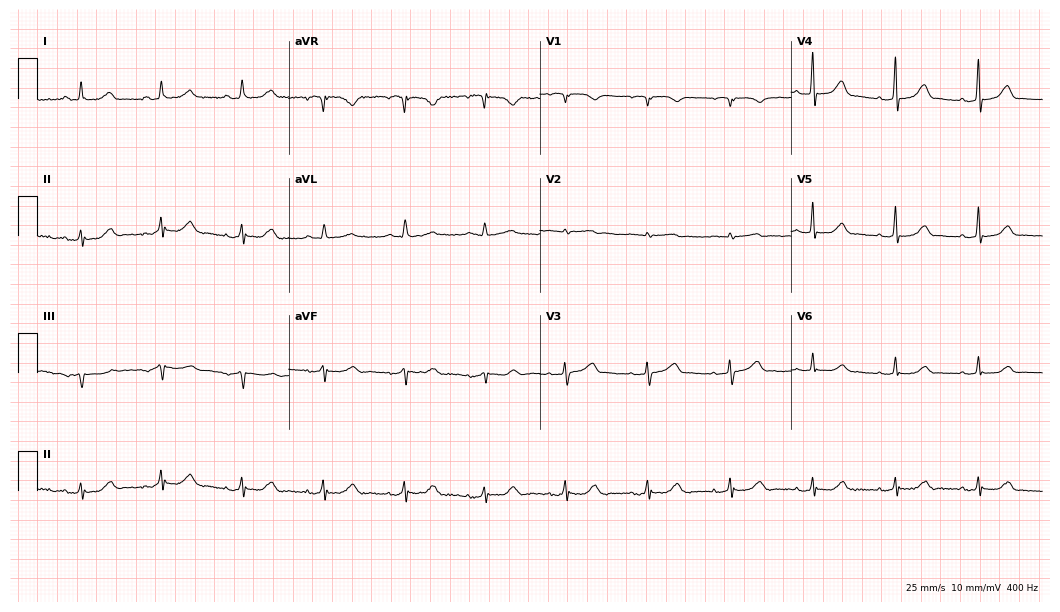
Electrocardiogram (10.2-second recording at 400 Hz), a female patient, 64 years old. Overall reading on record: normal ECG.